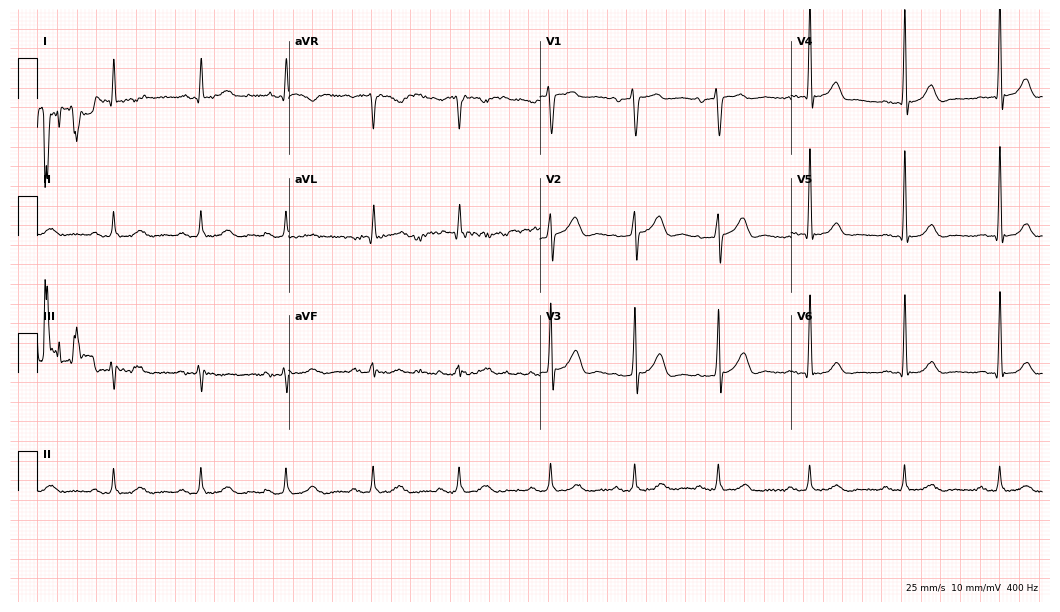
ECG (10.2-second recording at 400 Hz) — a man, 58 years old. Labelled as a normal ECG.